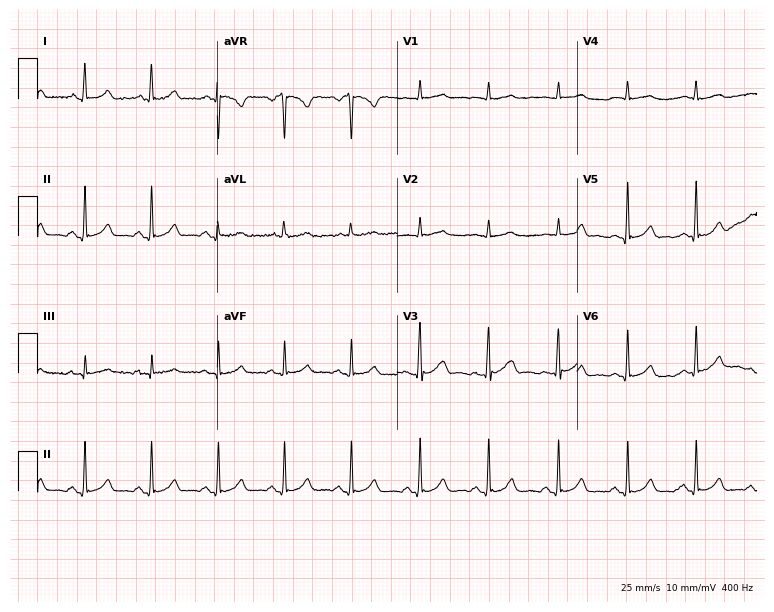
12-lead ECG from a male patient, 38 years old. No first-degree AV block, right bundle branch block, left bundle branch block, sinus bradycardia, atrial fibrillation or sinus tachycardia recorded for this tracing.